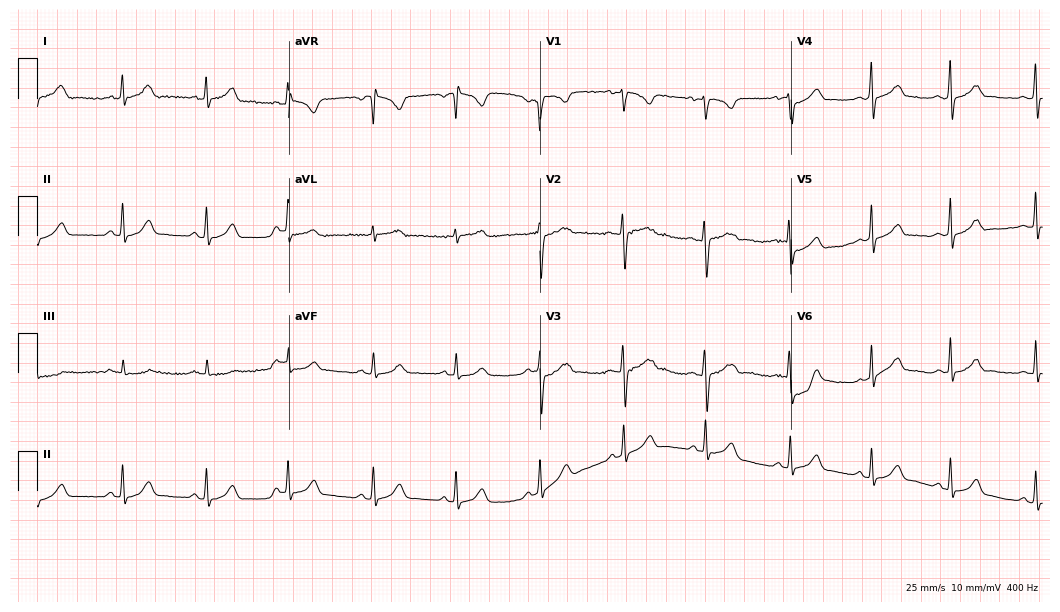
Standard 12-lead ECG recorded from a woman, 18 years old (10.2-second recording at 400 Hz). Read as a normal ECG.